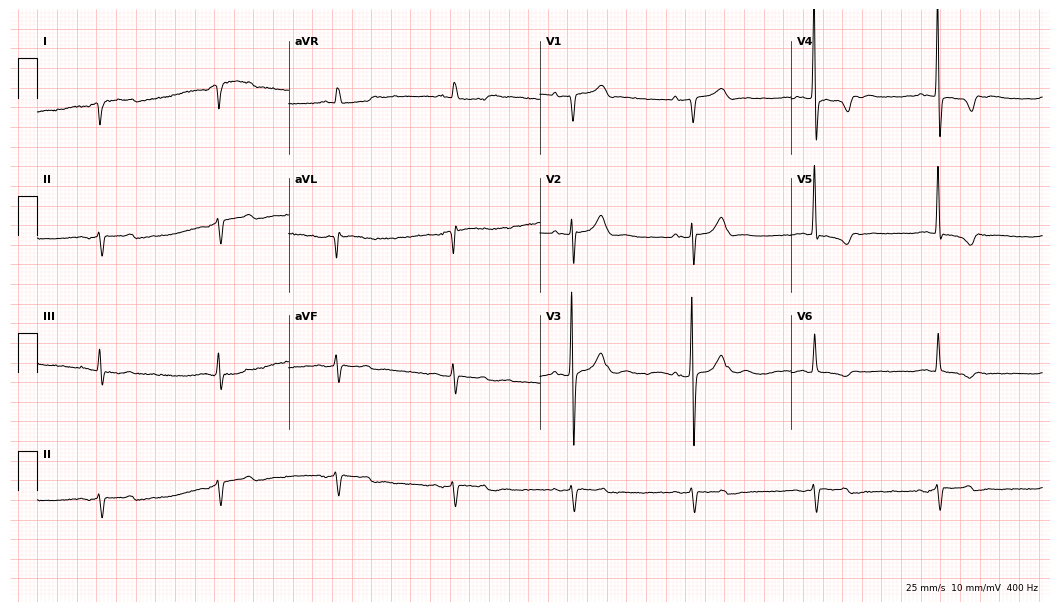
12-lead ECG from a 73-year-old man (10.2-second recording at 400 Hz). No first-degree AV block, right bundle branch block, left bundle branch block, sinus bradycardia, atrial fibrillation or sinus tachycardia recorded for this tracing.